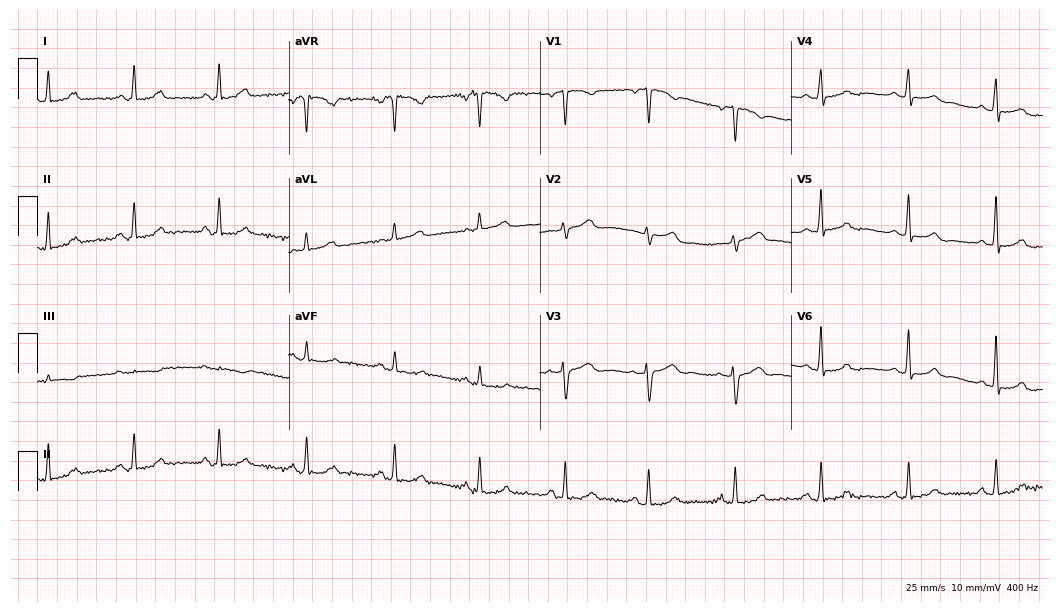
12-lead ECG from a female, 36 years old. No first-degree AV block, right bundle branch block, left bundle branch block, sinus bradycardia, atrial fibrillation or sinus tachycardia recorded for this tracing.